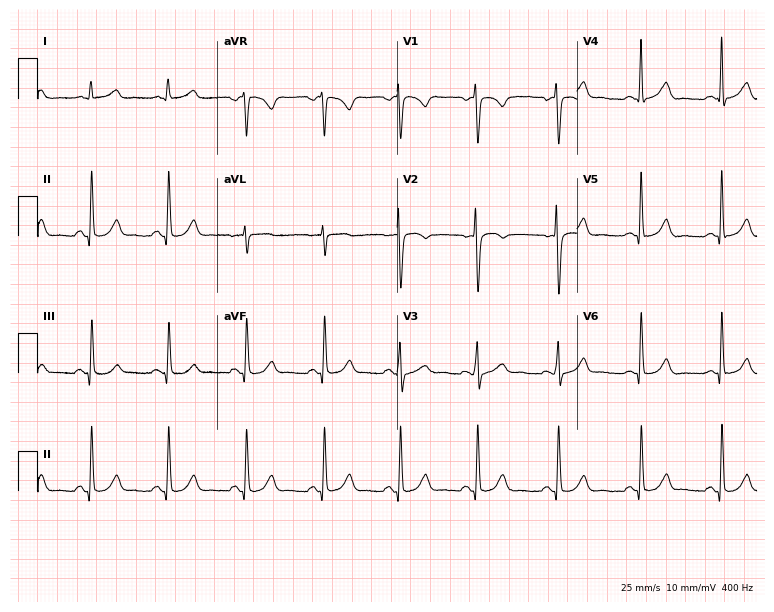
12-lead ECG (7.3-second recording at 400 Hz) from a 35-year-old female. Labelled as a normal ECG.